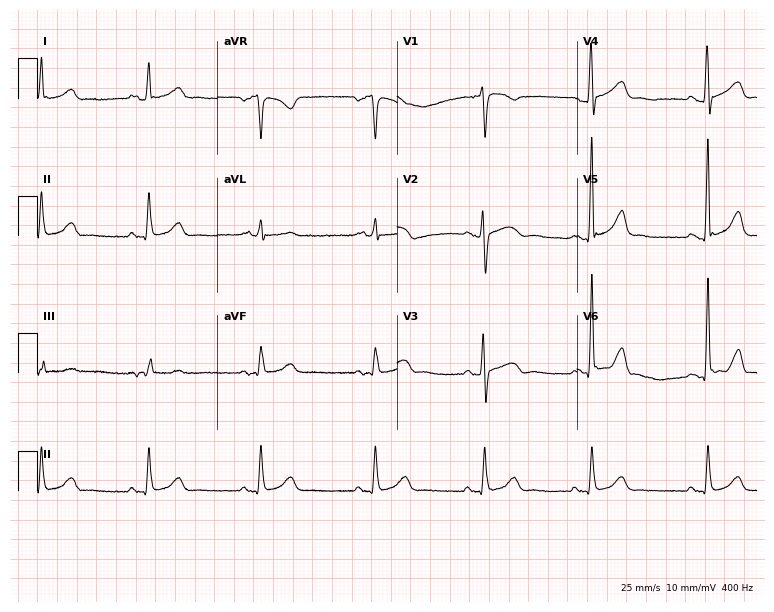
ECG (7.3-second recording at 400 Hz) — a man, 46 years old. Labelled as a normal ECG.